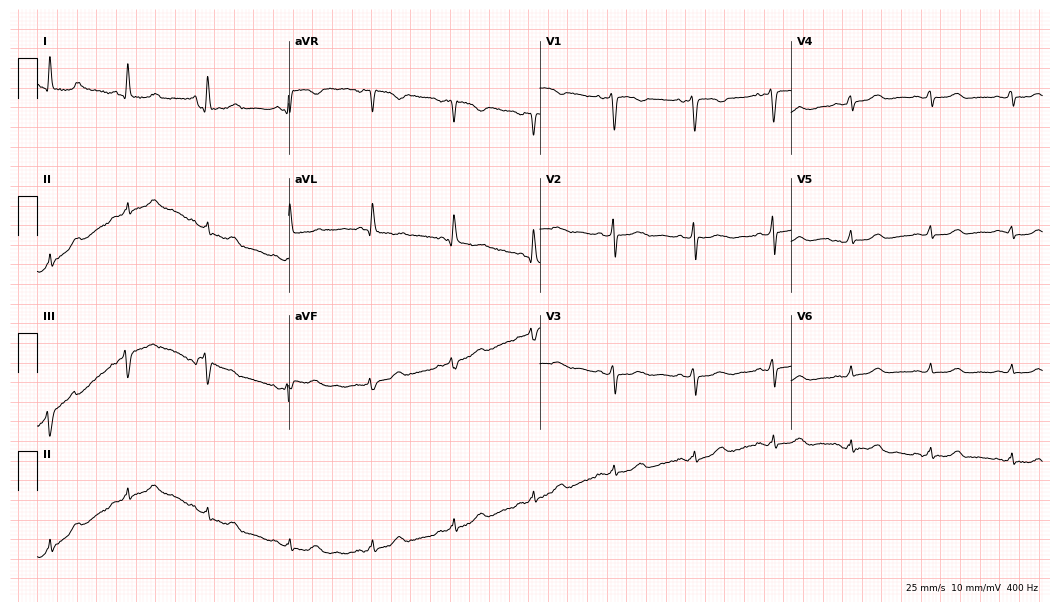
Resting 12-lead electrocardiogram. Patient: a woman, 64 years old. Read as a normal ECG.